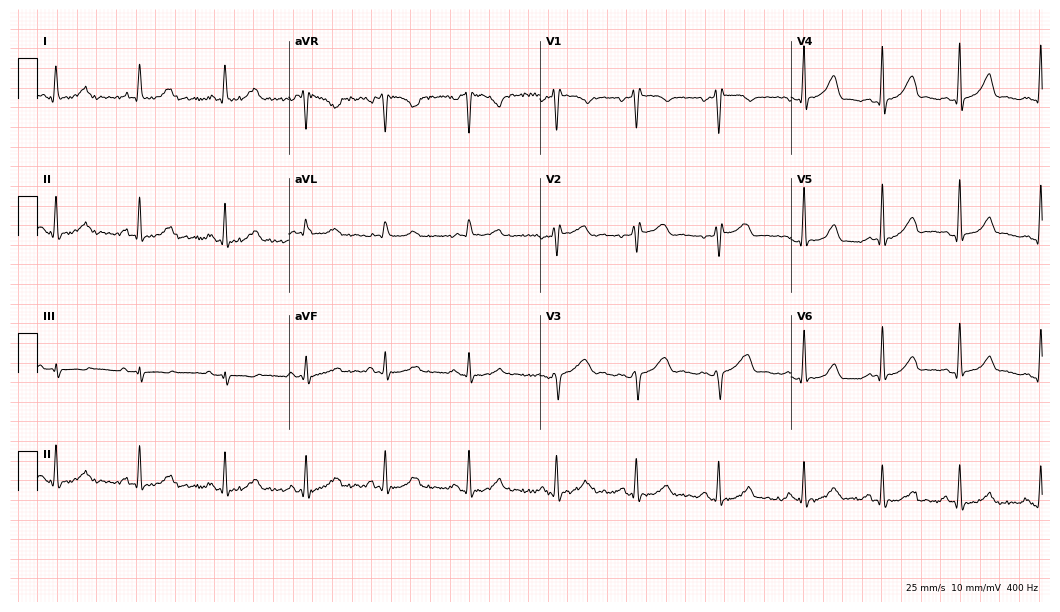
Resting 12-lead electrocardiogram (10.2-second recording at 400 Hz). Patient: a 41-year-old woman. Read as a normal ECG.